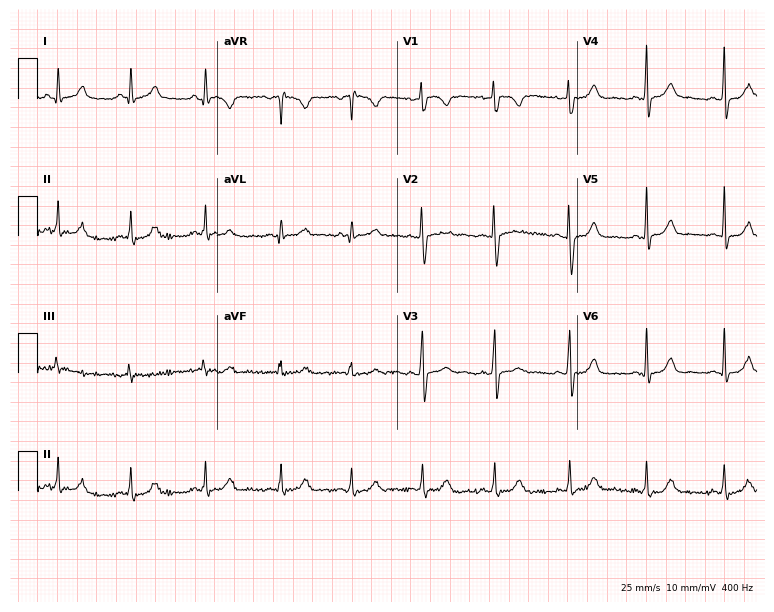
ECG (7.3-second recording at 400 Hz) — a 33-year-old female patient. Labelled as a normal ECG.